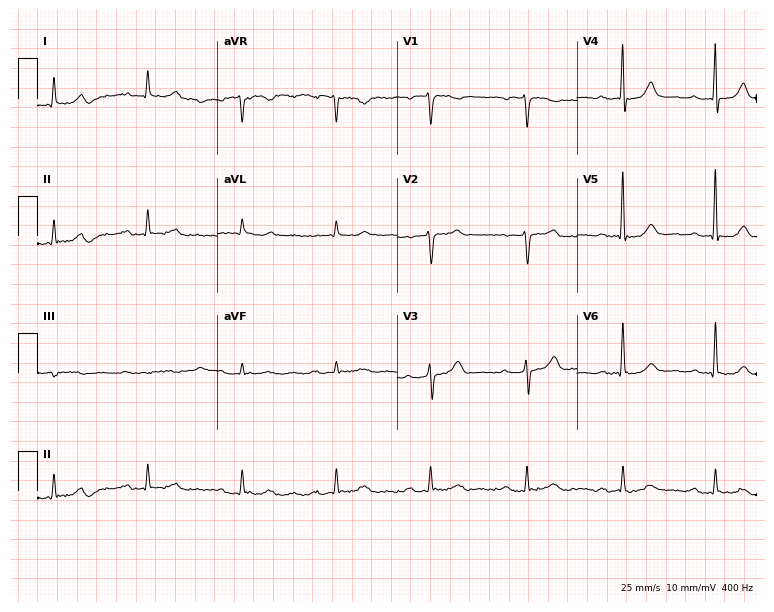
Resting 12-lead electrocardiogram. Patient: an 84-year-old male. None of these six findings is recorded: first-degree AV block, right bundle branch block, left bundle branch block, sinus bradycardia, atrial fibrillation, sinus tachycardia.